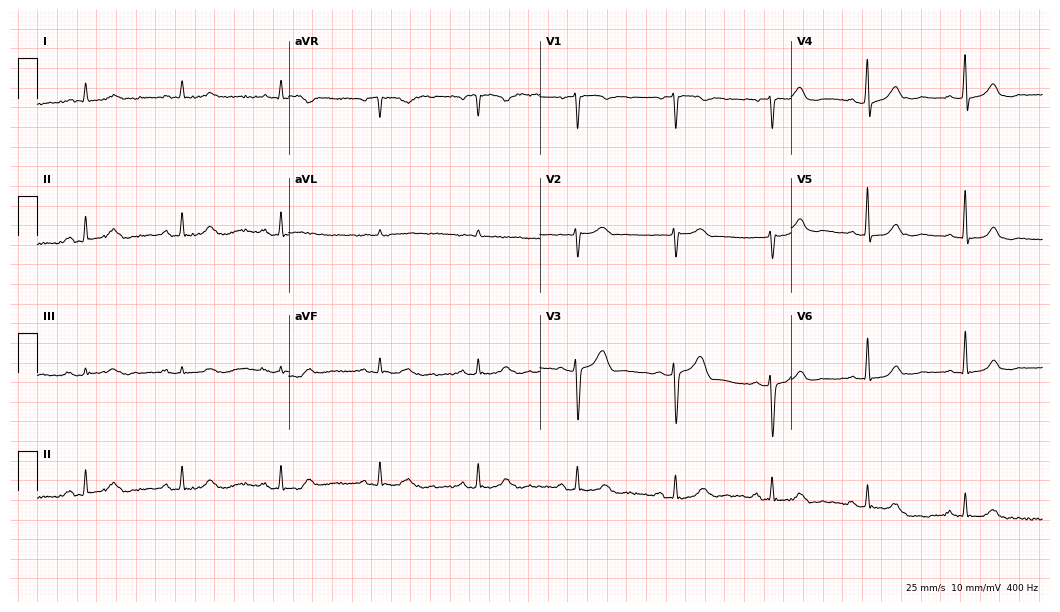
12-lead ECG from a 60-year-old woman (10.2-second recording at 400 Hz). Recorded interpretation: within normal limits.